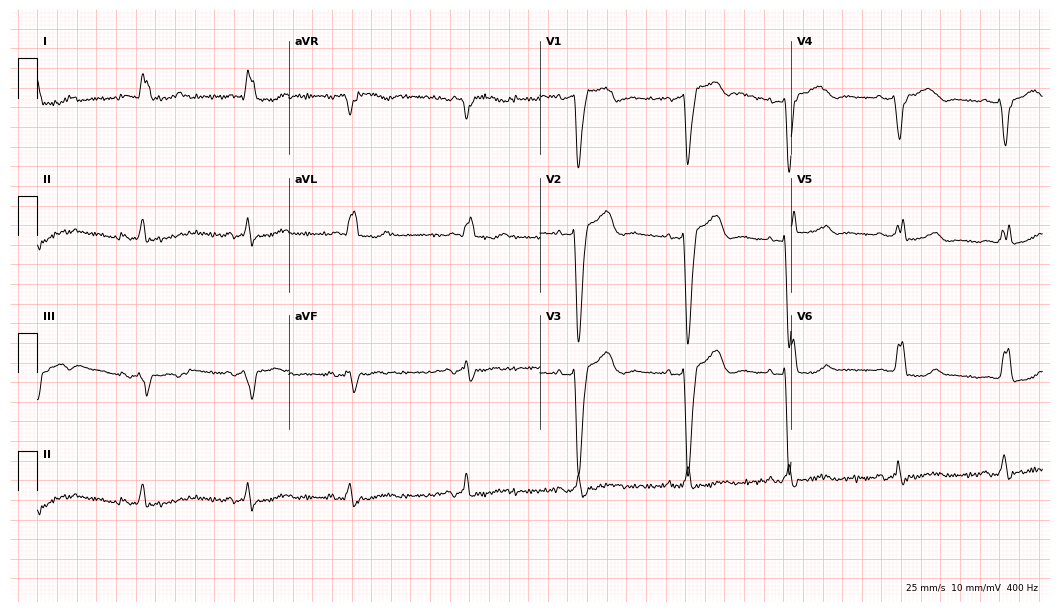
12-lead ECG from an 81-year-old female patient. Shows left bundle branch block.